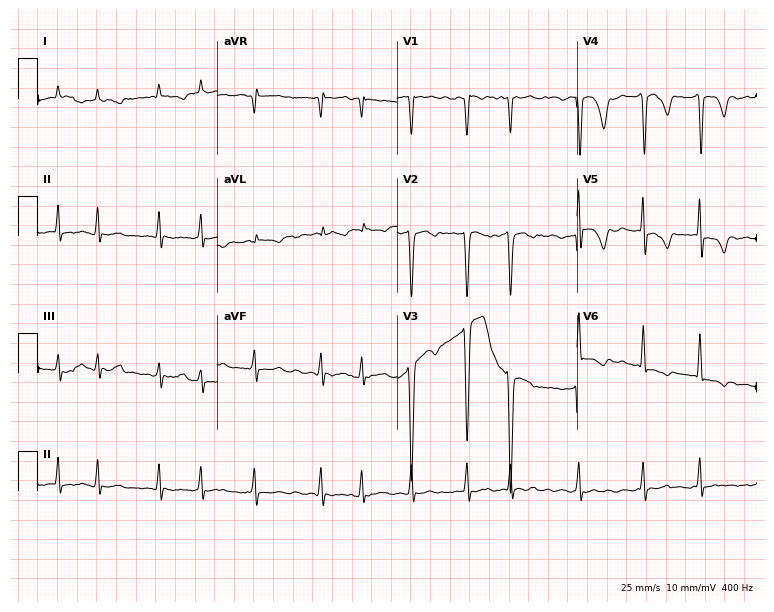
ECG (7.3-second recording at 400 Hz) — a 60-year-old male patient. Findings include atrial fibrillation.